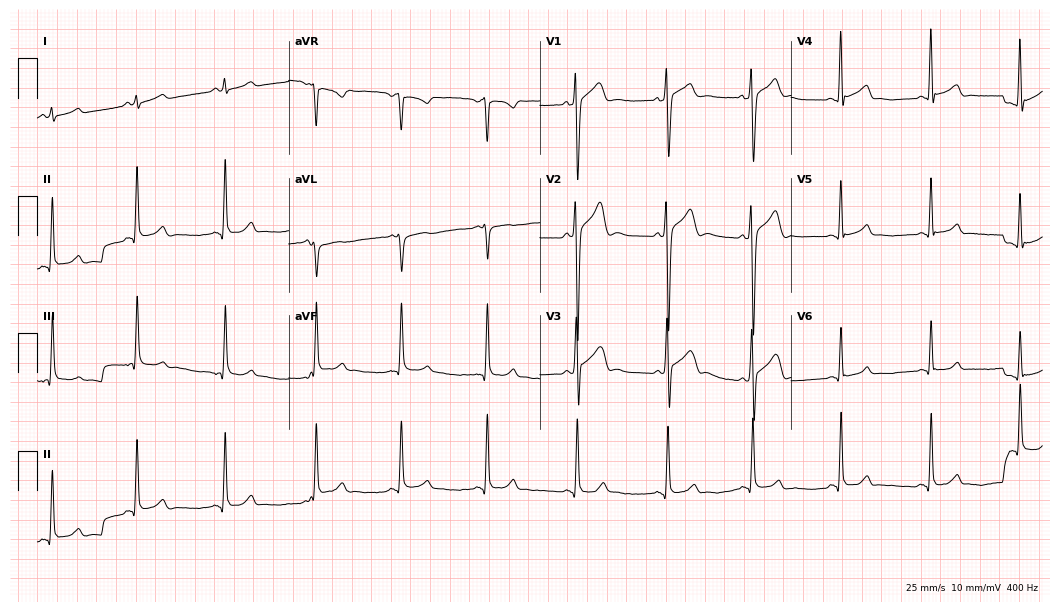
ECG (10.2-second recording at 400 Hz) — a male, 22 years old. Labelled as a normal ECG.